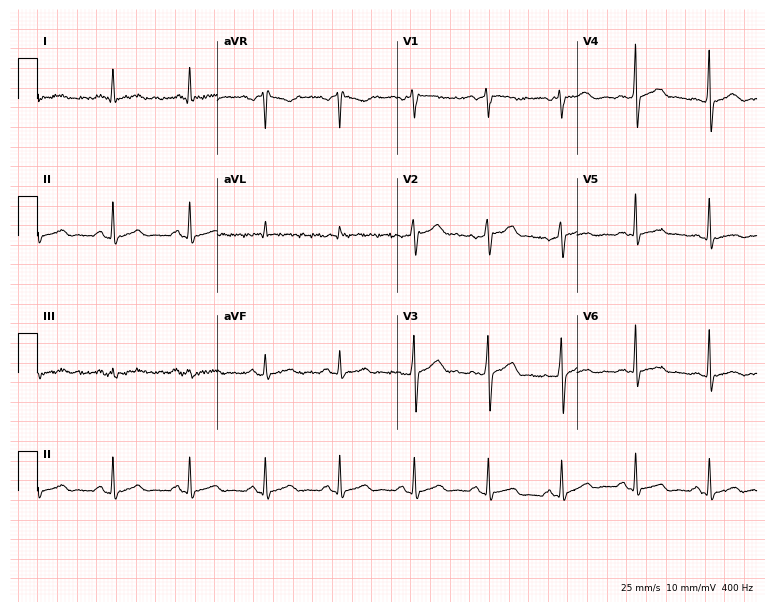
12-lead ECG from a 40-year-old male patient. Recorded interpretation: within normal limits.